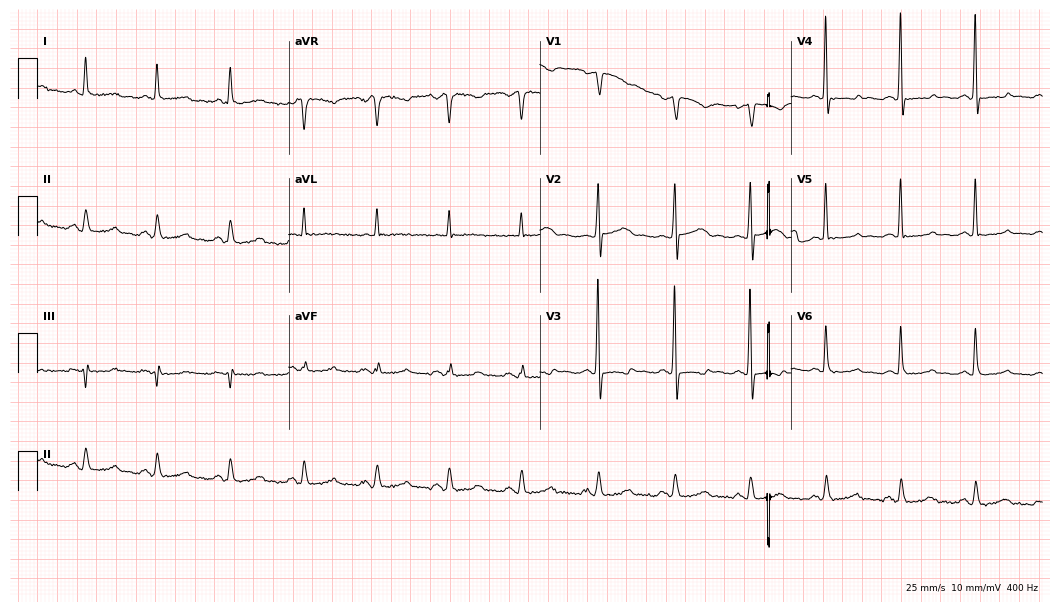
Standard 12-lead ECG recorded from a woman, 64 years old (10.2-second recording at 400 Hz). None of these six findings is recorded: first-degree AV block, right bundle branch block, left bundle branch block, sinus bradycardia, atrial fibrillation, sinus tachycardia. Findings outside these six are not listed.